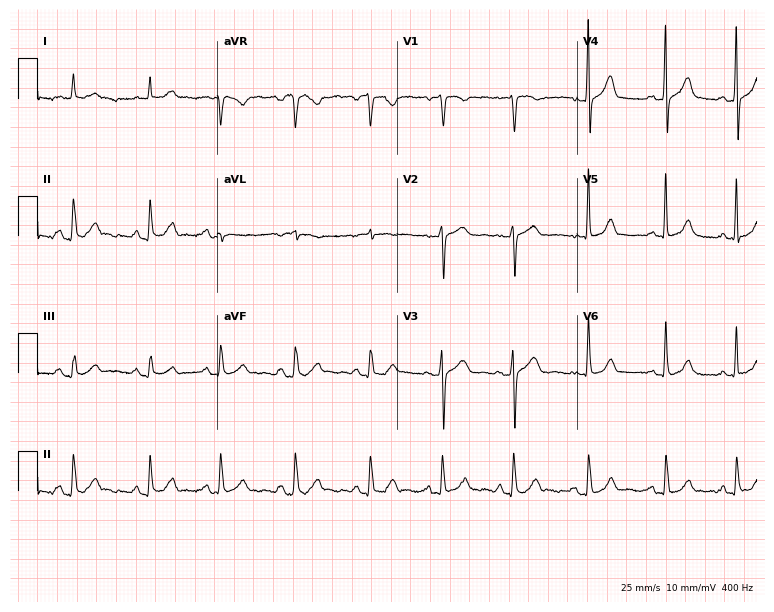
12-lead ECG from a woman, 57 years old. Screened for six findings — first-degree AV block, right bundle branch block (RBBB), left bundle branch block (LBBB), sinus bradycardia, atrial fibrillation (AF), sinus tachycardia — none is recorded. Only these six findings were labelled.